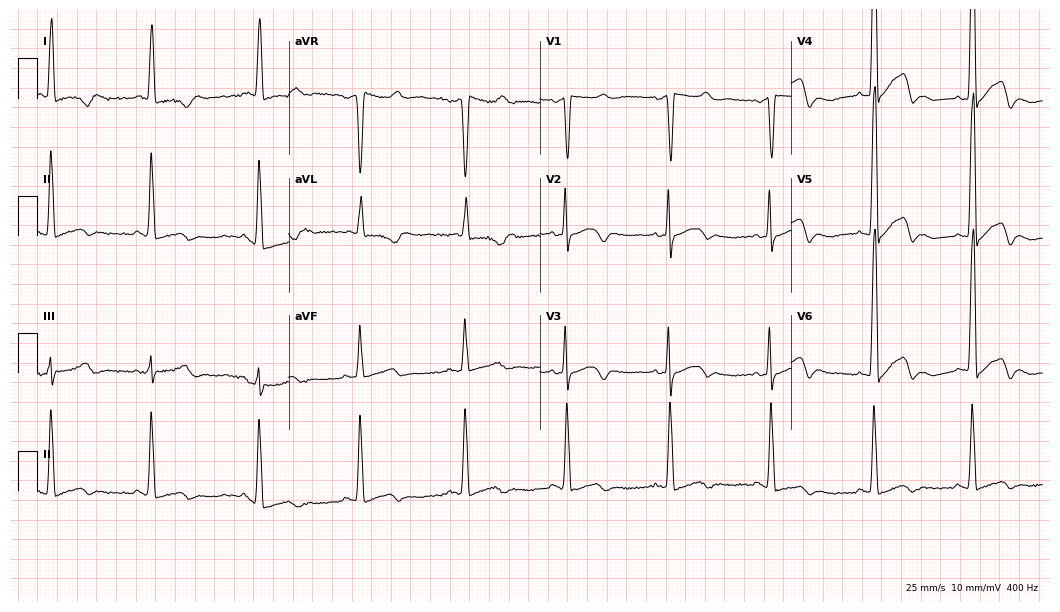
Electrocardiogram (10.2-second recording at 400 Hz), a woman, 78 years old. Of the six screened findings (first-degree AV block, right bundle branch block (RBBB), left bundle branch block (LBBB), sinus bradycardia, atrial fibrillation (AF), sinus tachycardia), none is recorded.